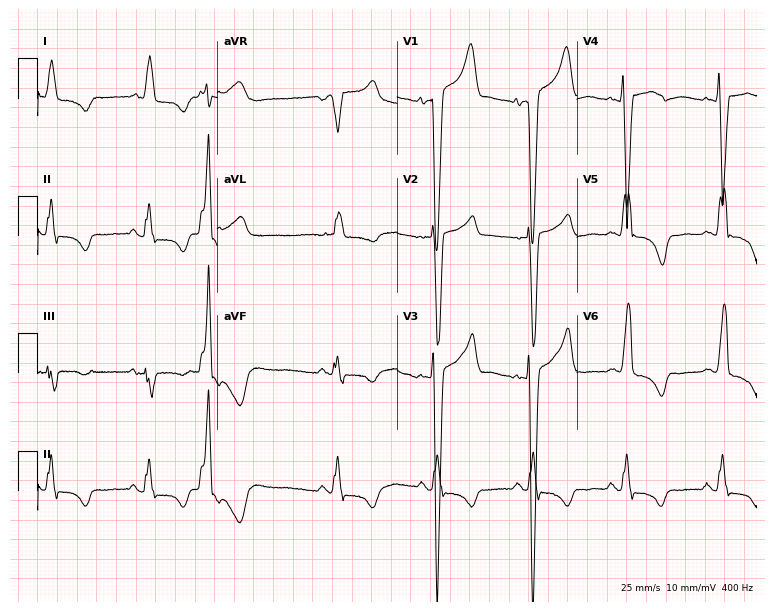
Electrocardiogram (7.3-second recording at 400 Hz), an 86-year-old male. Interpretation includes left bundle branch block (LBBB).